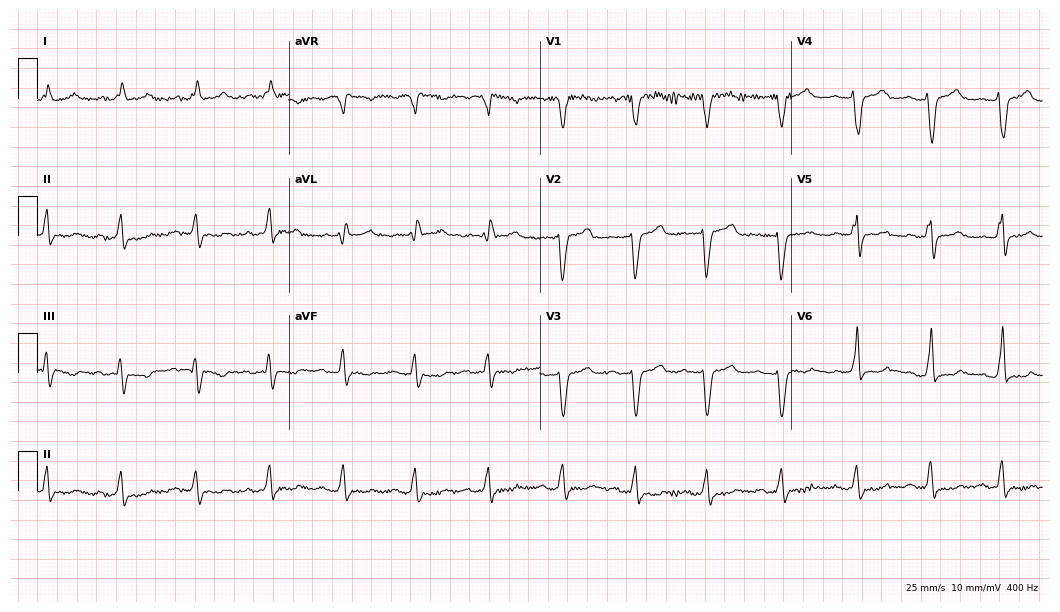
Standard 12-lead ECG recorded from a female patient, 84 years old (10.2-second recording at 400 Hz). The tracing shows left bundle branch block.